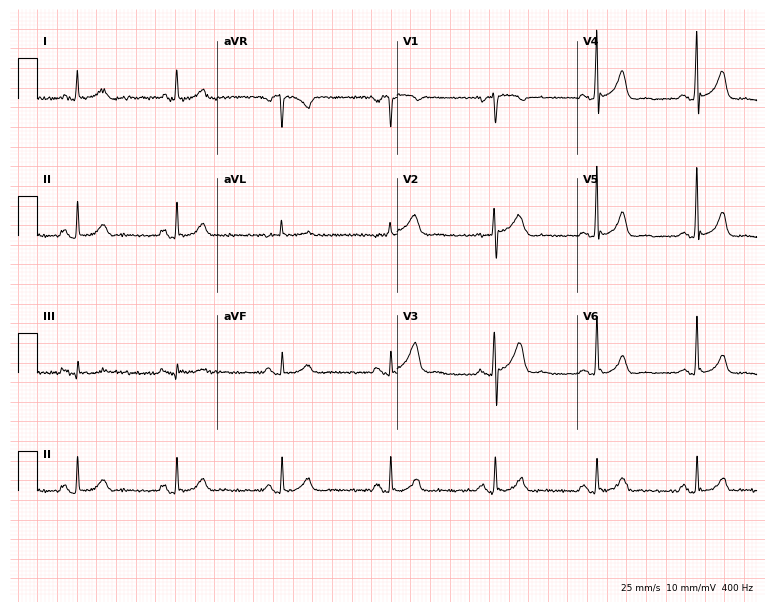
Electrocardiogram (7.3-second recording at 400 Hz), a female patient, 56 years old. Overall reading on record: normal ECG.